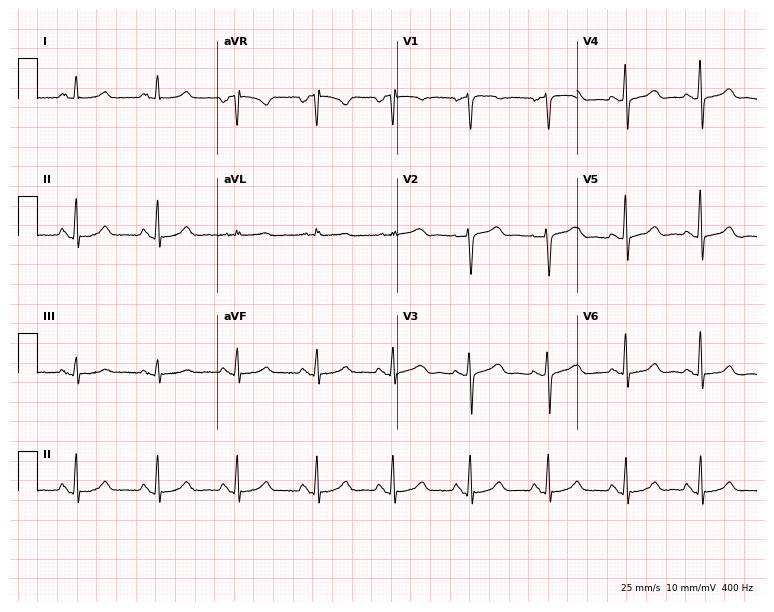
Standard 12-lead ECG recorded from a female patient, 59 years old (7.3-second recording at 400 Hz). Read as a normal ECG.